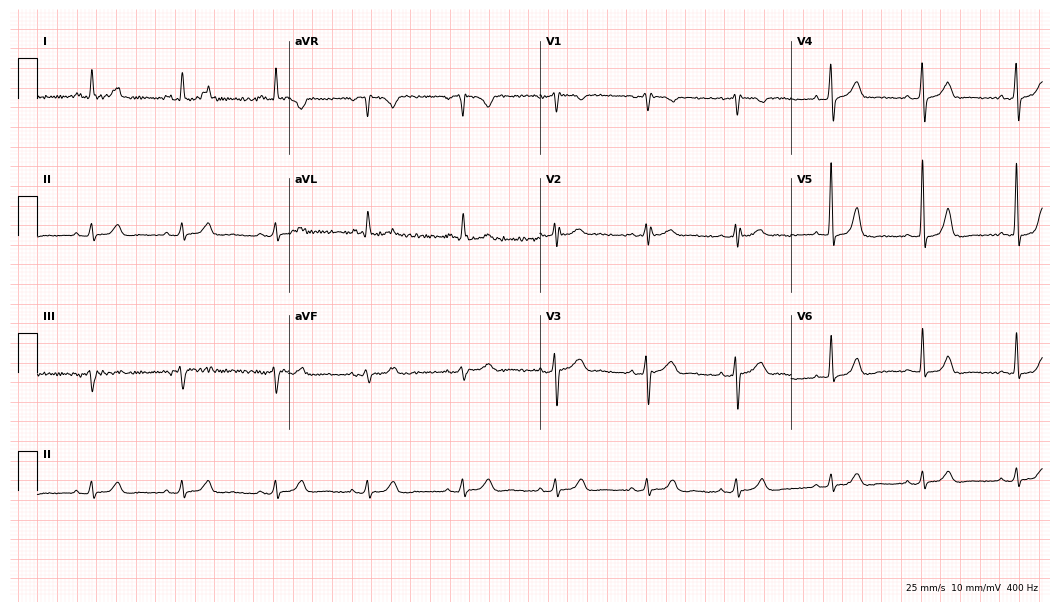
12-lead ECG from a woman, 74 years old. Recorded interpretation: within normal limits.